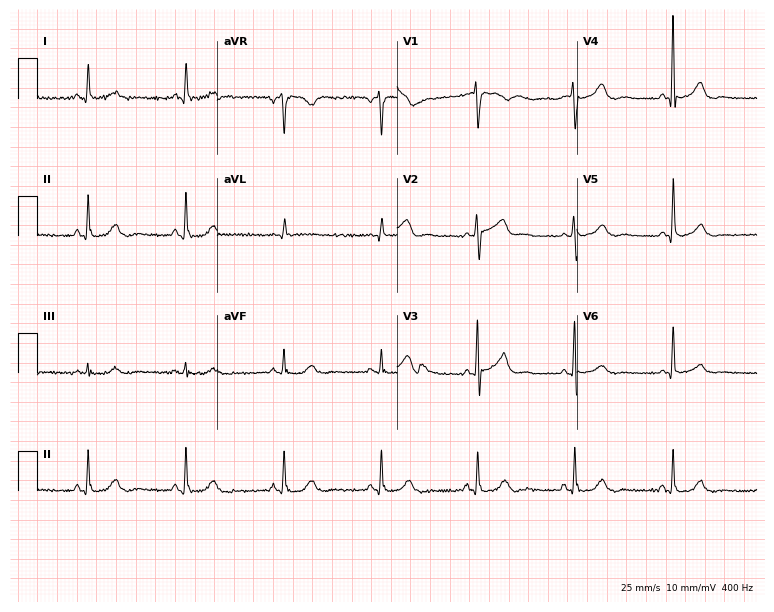
Resting 12-lead electrocardiogram (7.3-second recording at 400 Hz). Patient: a 75-year-old male. Read as a normal ECG.